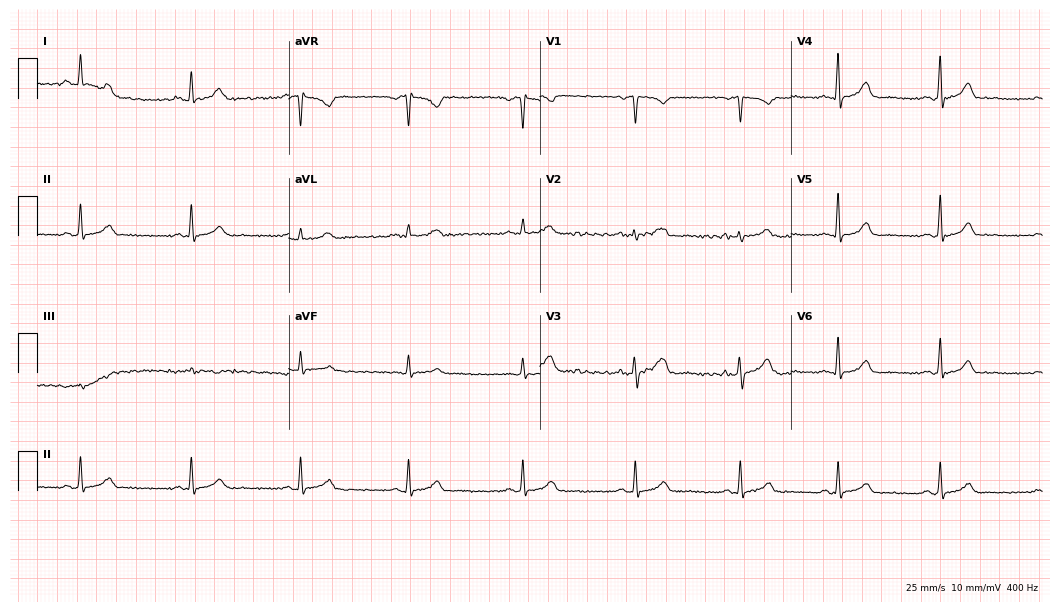
12-lead ECG (10.2-second recording at 400 Hz) from a female patient, 36 years old. Labelled as a normal ECG.